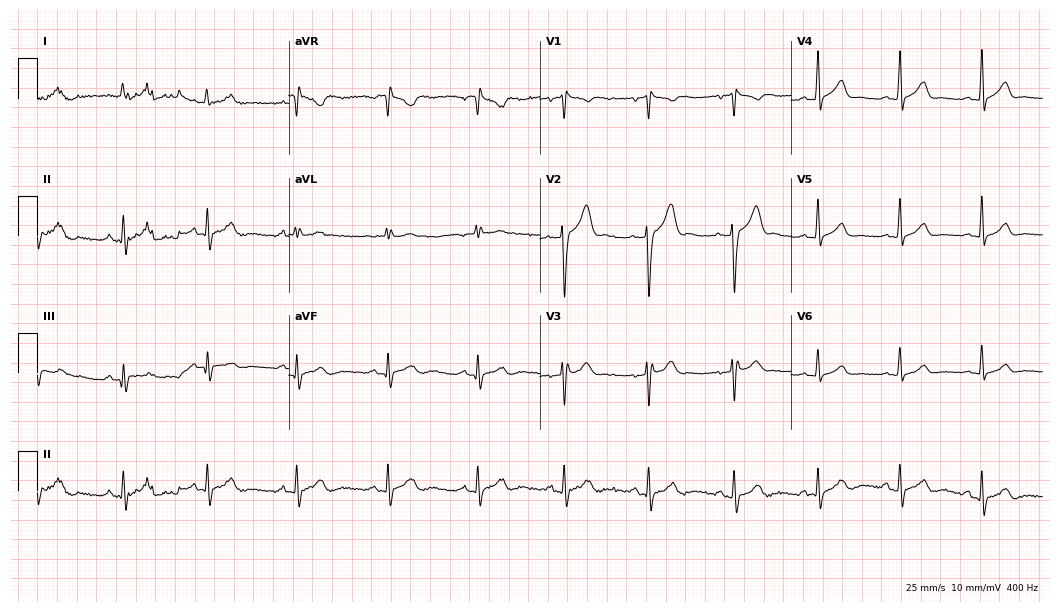
Electrocardiogram (10.2-second recording at 400 Hz), a male patient, 23 years old. Of the six screened findings (first-degree AV block, right bundle branch block (RBBB), left bundle branch block (LBBB), sinus bradycardia, atrial fibrillation (AF), sinus tachycardia), none is recorded.